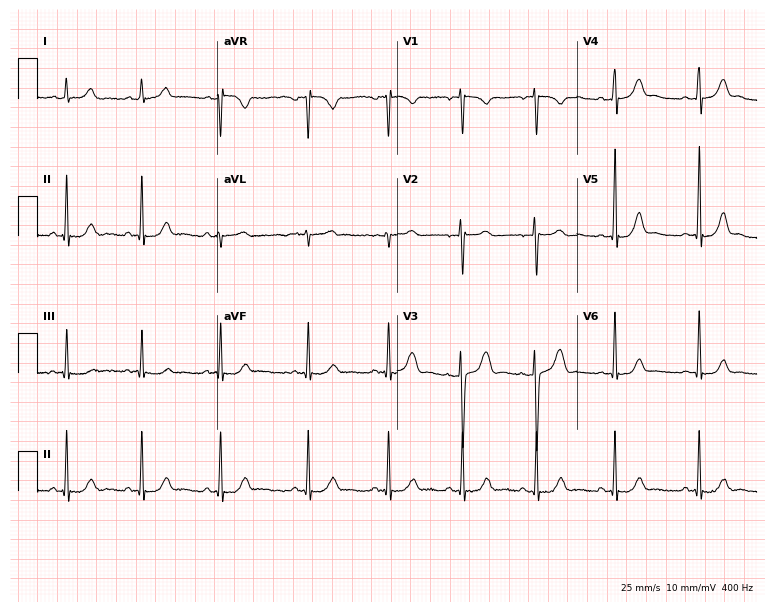
ECG (7.3-second recording at 400 Hz) — a 23-year-old female patient. Screened for six findings — first-degree AV block, right bundle branch block, left bundle branch block, sinus bradycardia, atrial fibrillation, sinus tachycardia — none is recorded. Findings outside these six are not listed.